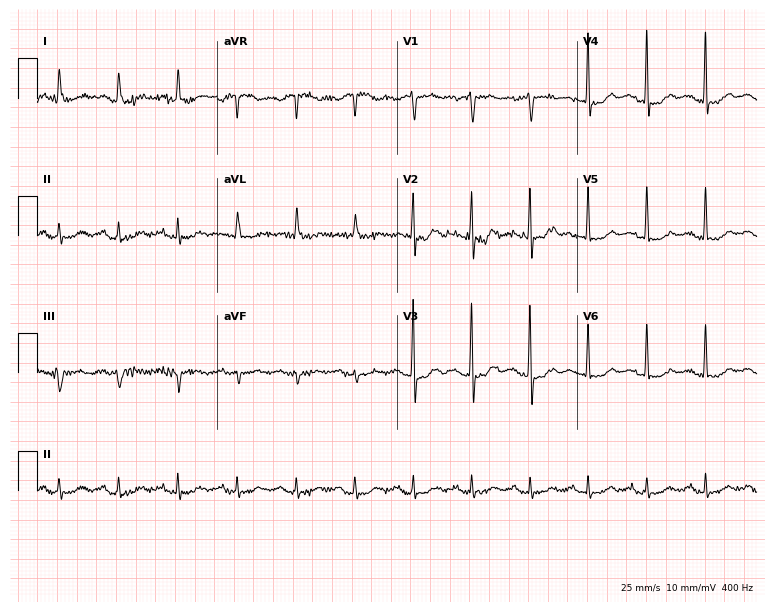
Electrocardiogram, an 86-year-old woman. Of the six screened findings (first-degree AV block, right bundle branch block, left bundle branch block, sinus bradycardia, atrial fibrillation, sinus tachycardia), none is recorded.